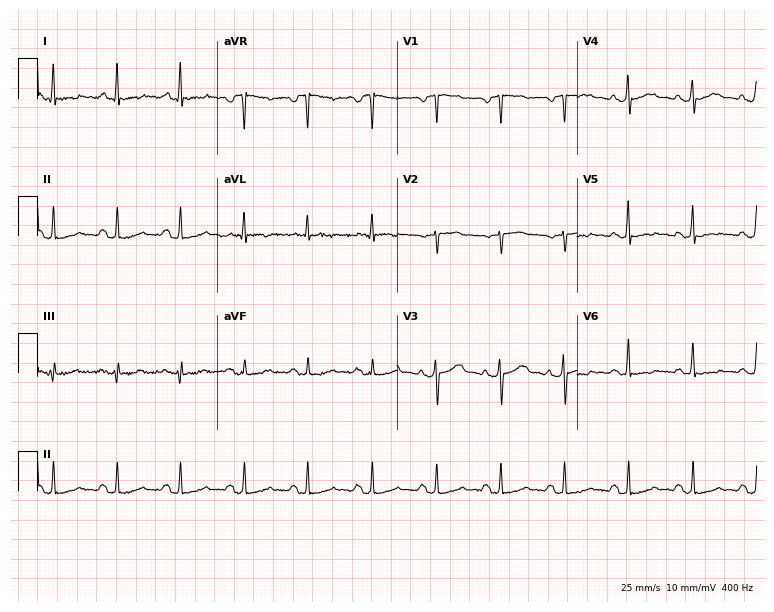
ECG — a female, 52 years old. Screened for six findings — first-degree AV block, right bundle branch block, left bundle branch block, sinus bradycardia, atrial fibrillation, sinus tachycardia — none is recorded. Findings outside these six are not listed.